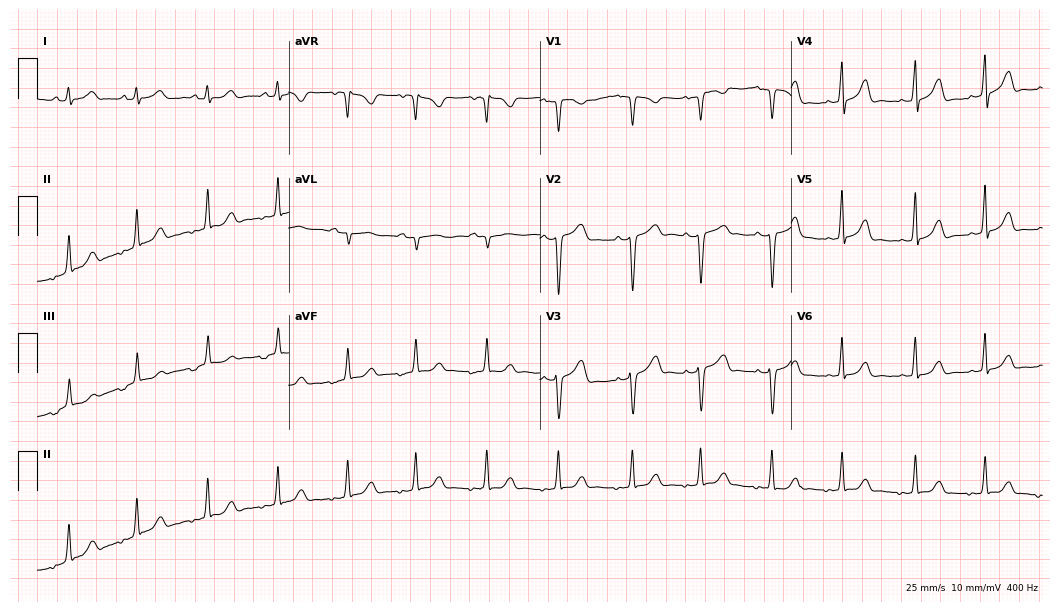
Electrocardiogram, a female, 23 years old. Overall reading on record: normal ECG.